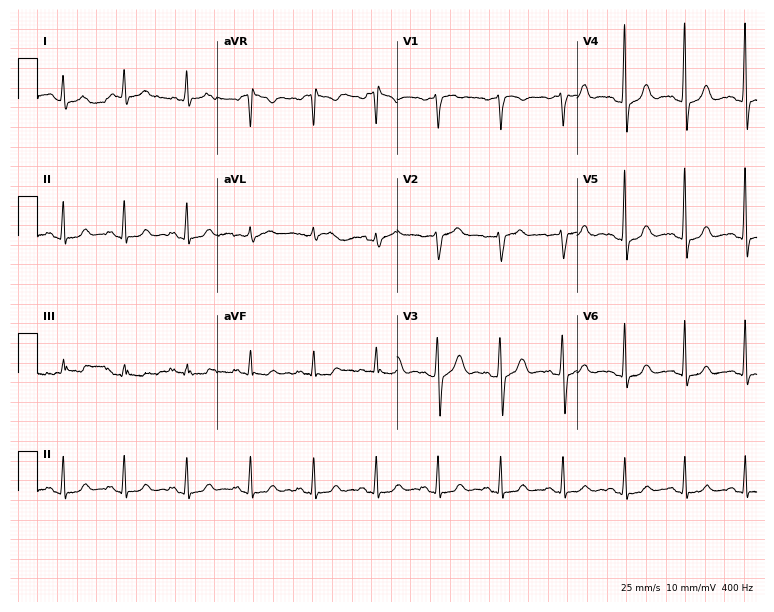
12-lead ECG (7.3-second recording at 400 Hz) from a female, 53 years old. Screened for six findings — first-degree AV block, right bundle branch block, left bundle branch block, sinus bradycardia, atrial fibrillation, sinus tachycardia — none is recorded.